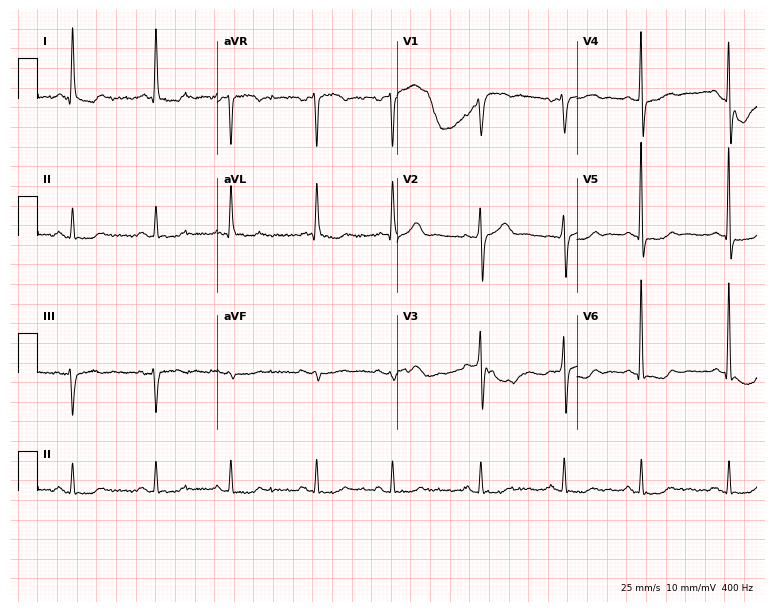
12-lead ECG from a male, 70 years old (7.3-second recording at 400 Hz). No first-degree AV block, right bundle branch block, left bundle branch block, sinus bradycardia, atrial fibrillation or sinus tachycardia recorded for this tracing. Findings outside these six are not listed.